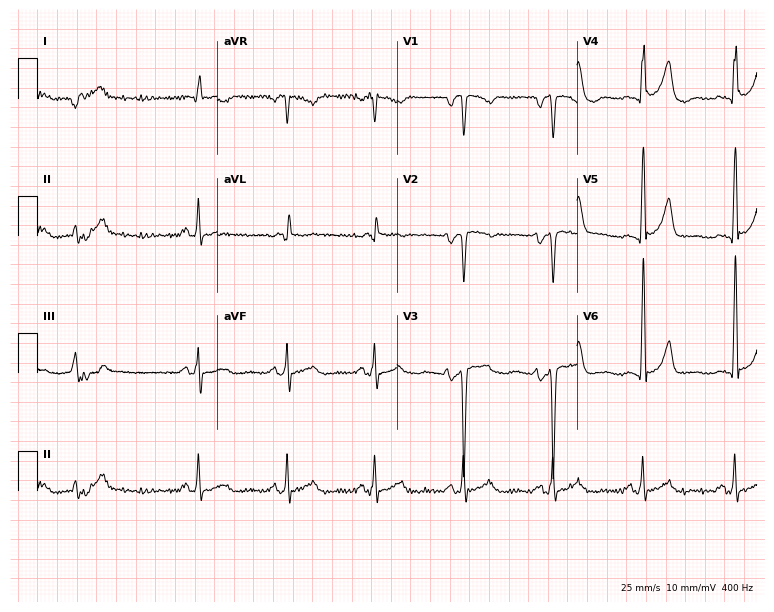
Resting 12-lead electrocardiogram. Patient: a male, 62 years old. None of these six findings is recorded: first-degree AV block, right bundle branch block, left bundle branch block, sinus bradycardia, atrial fibrillation, sinus tachycardia.